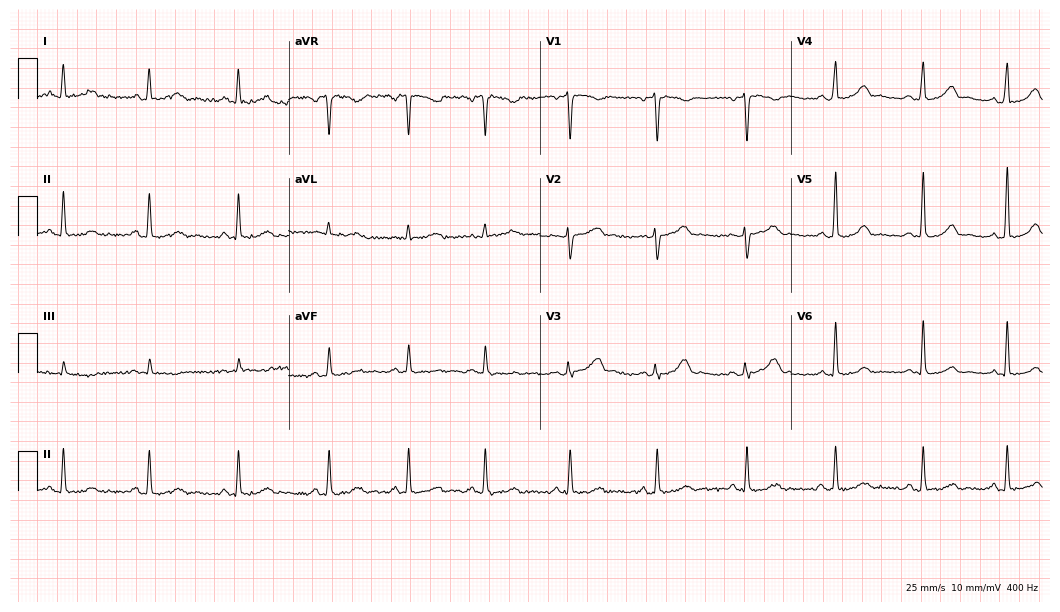
Electrocardiogram (10.2-second recording at 400 Hz), a female, 50 years old. Of the six screened findings (first-degree AV block, right bundle branch block, left bundle branch block, sinus bradycardia, atrial fibrillation, sinus tachycardia), none is recorded.